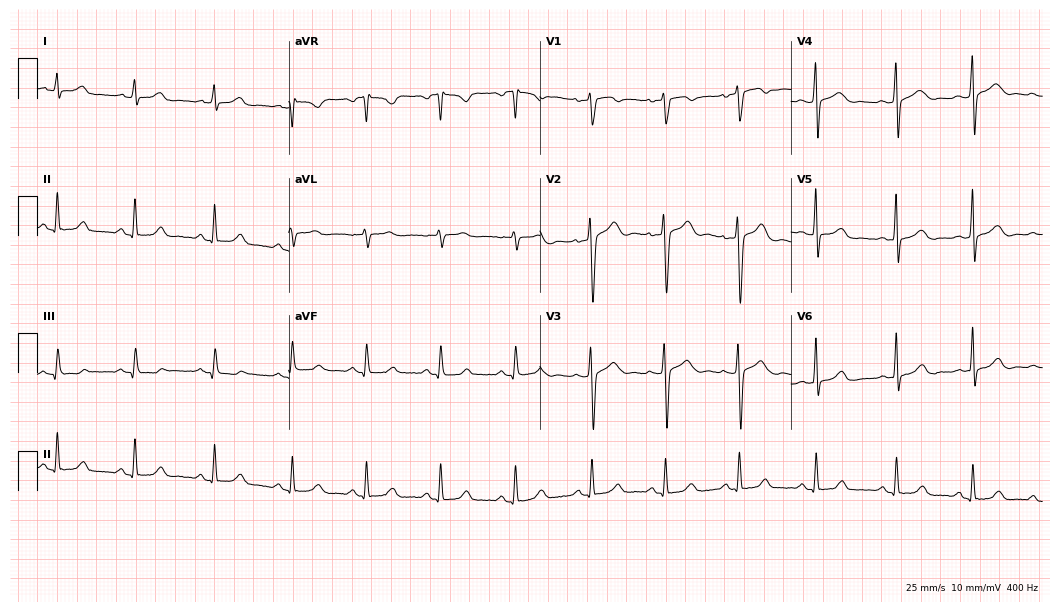
Resting 12-lead electrocardiogram (10.2-second recording at 400 Hz). Patient: a woman, 28 years old. Read as a normal ECG.